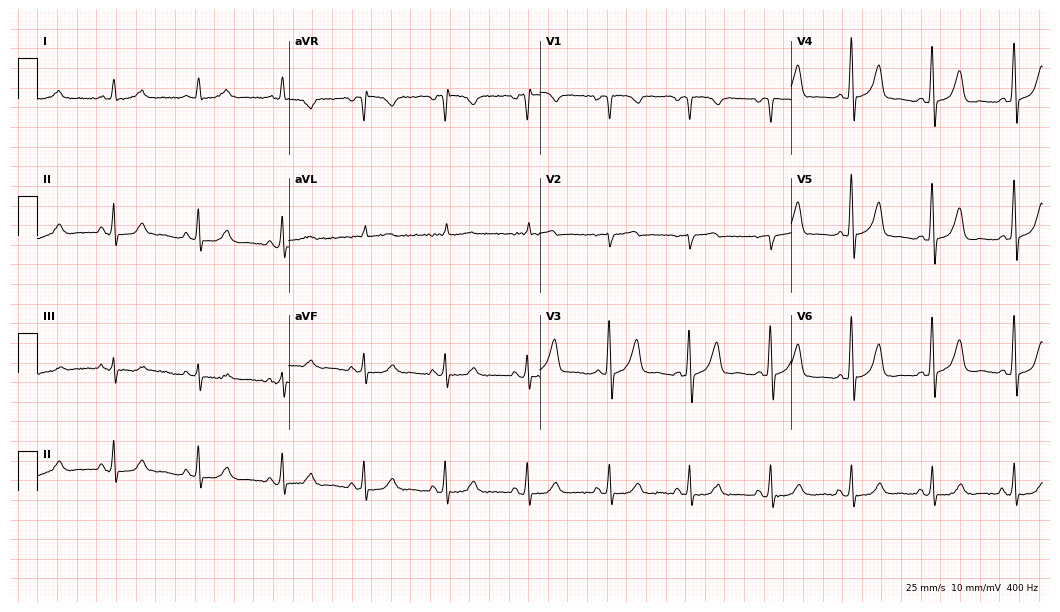
ECG — a male, 70 years old. Labelled as a normal ECG.